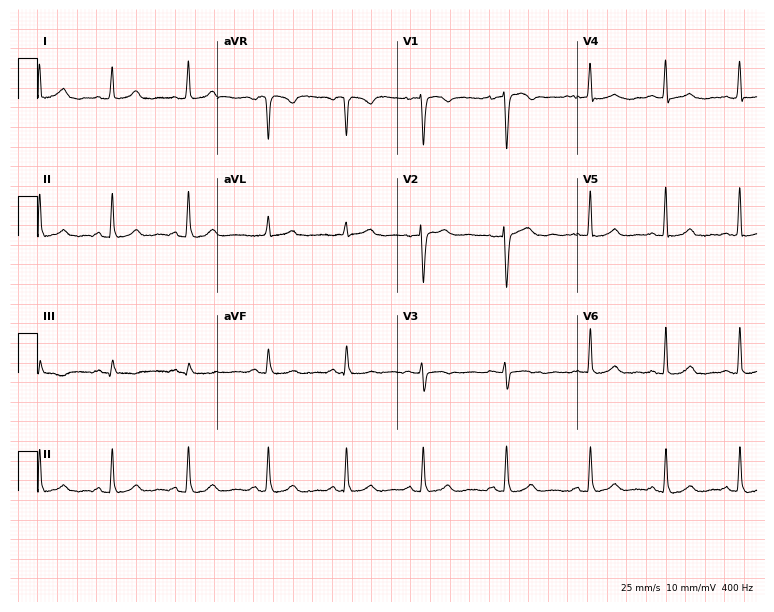
Electrocardiogram, a 38-year-old woman. Of the six screened findings (first-degree AV block, right bundle branch block, left bundle branch block, sinus bradycardia, atrial fibrillation, sinus tachycardia), none is recorded. Findings outside these six are not listed.